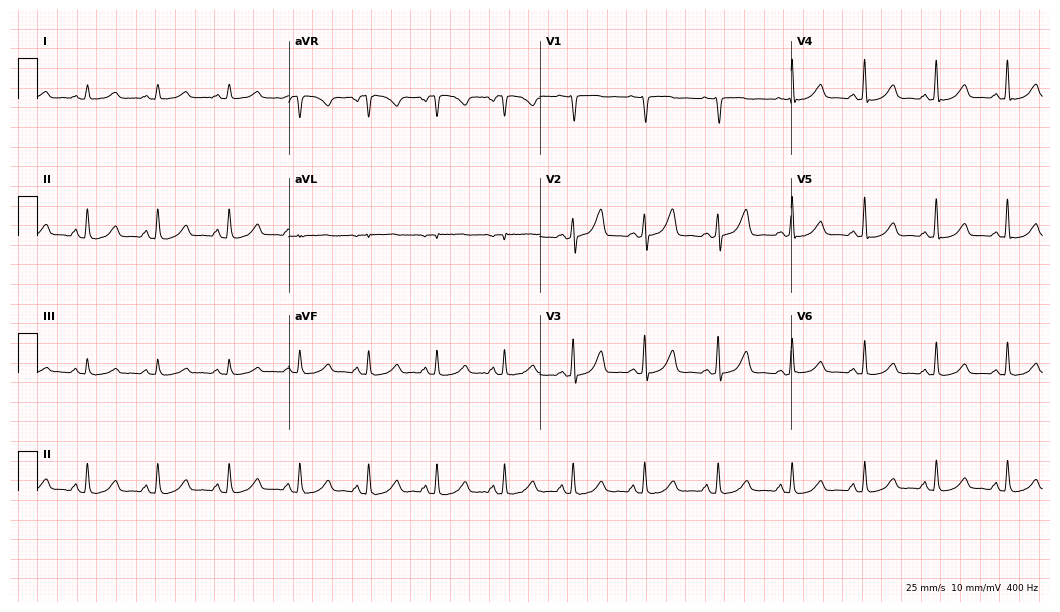
Electrocardiogram, a 50-year-old female. Of the six screened findings (first-degree AV block, right bundle branch block, left bundle branch block, sinus bradycardia, atrial fibrillation, sinus tachycardia), none is recorded. Only these six findings were labelled.